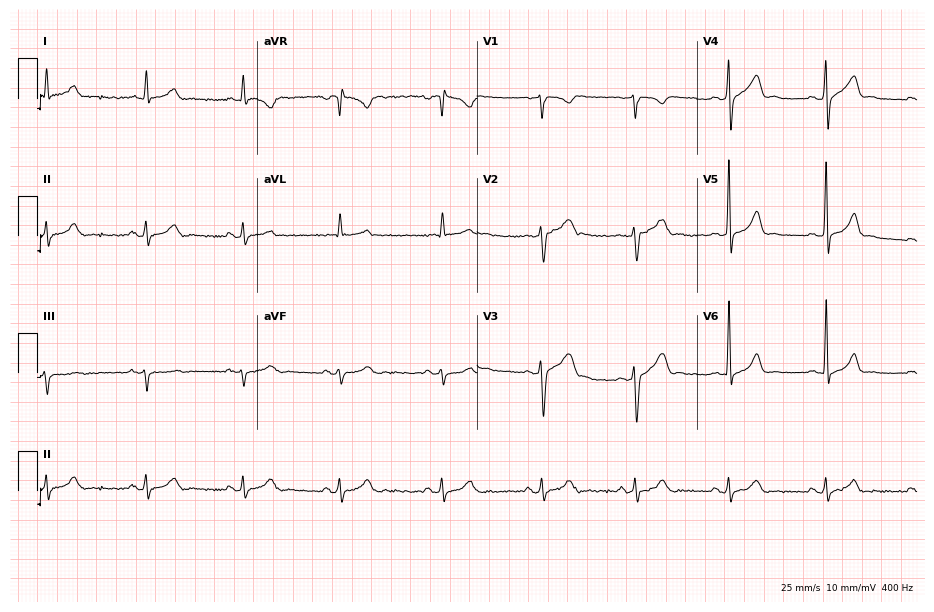
12-lead ECG from a man, 39 years old. Recorded interpretation: within normal limits.